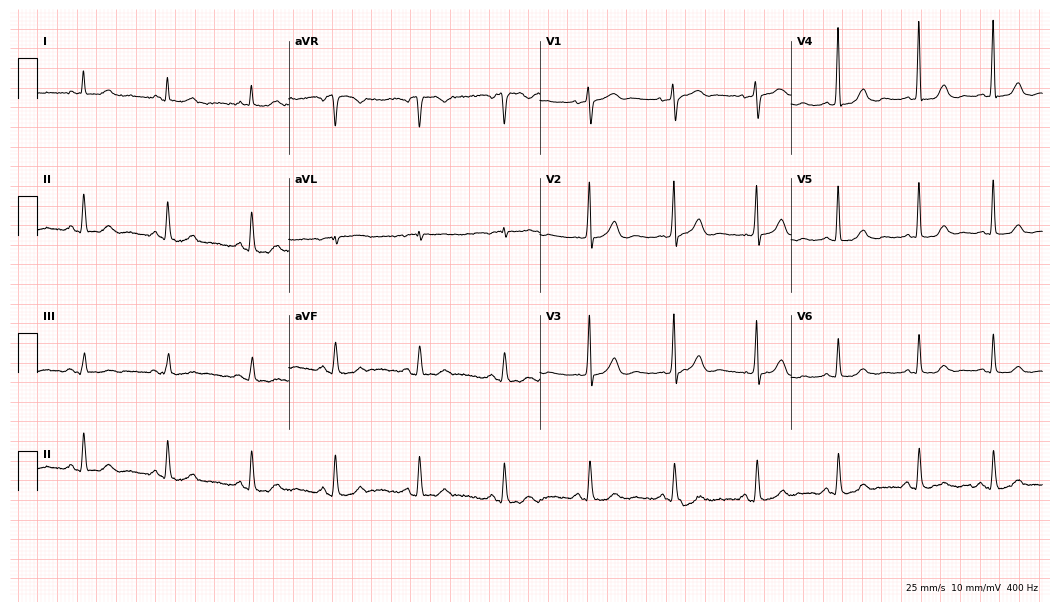
Standard 12-lead ECG recorded from a male, 83 years old. None of these six findings is recorded: first-degree AV block, right bundle branch block, left bundle branch block, sinus bradycardia, atrial fibrillation, sinus tachycardia. Only these six findings were labelled.